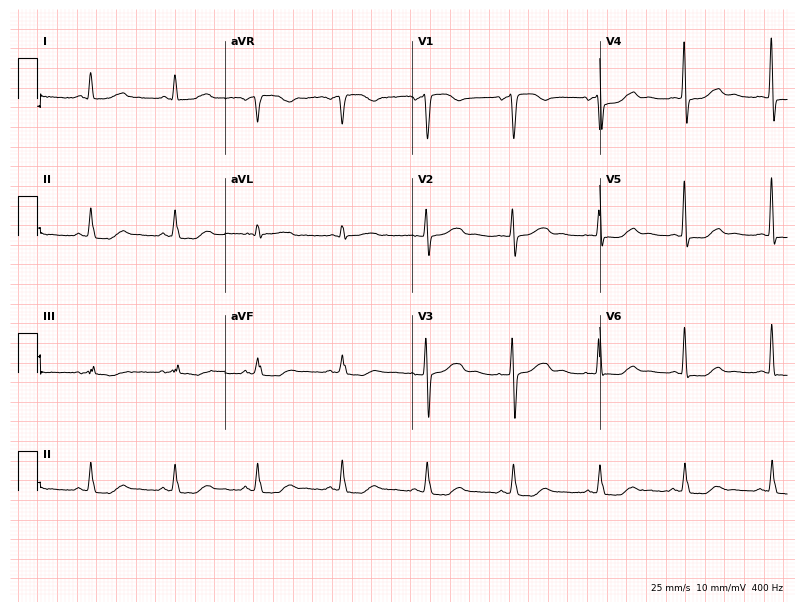
12-lead ECG from a 50-year-old female (7.6-second recording at 400 Hz). No first-degree AV block, right bundle branch block (RBBB), left bundle branch block (LBBB), sinus bradycardia, atrial fibrillation (AF) or sinus tachycardia recorded for this tracing. Other findings, if any, are not listed.